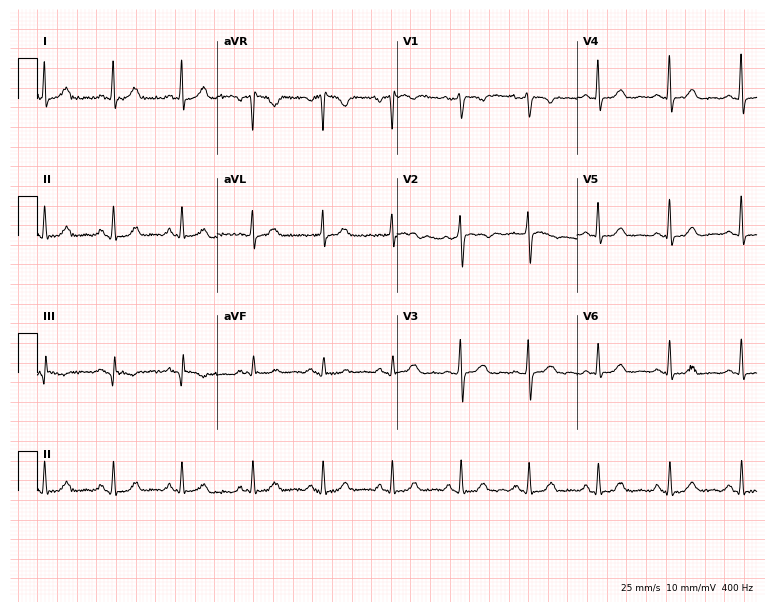
ECG — a woman, 55 years old. Labelled as a normal ECG.